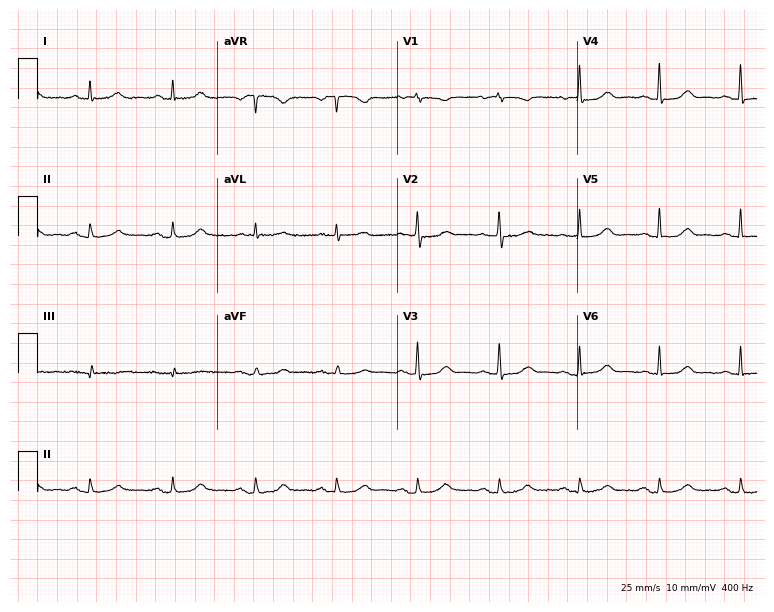
Resting 12-lead electrocardiogram. Patient: a 71-year-old woman. Read as a normal ECG.